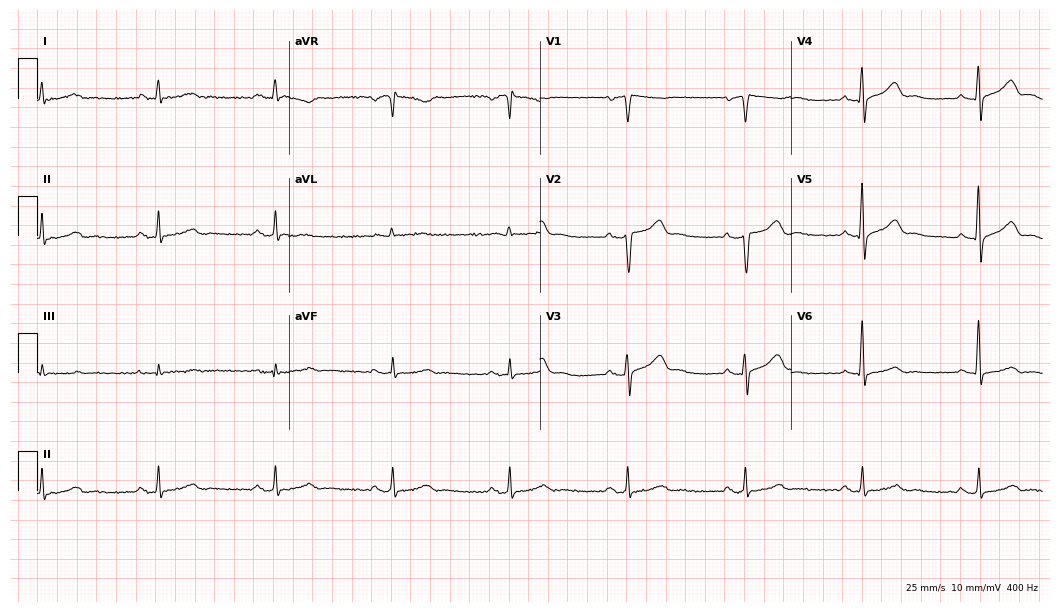
Electrocardiogram, a male patient, 76 years old. Interpretation includes sinus bradycardia (a sinus rate of 50 beats per minute or less).